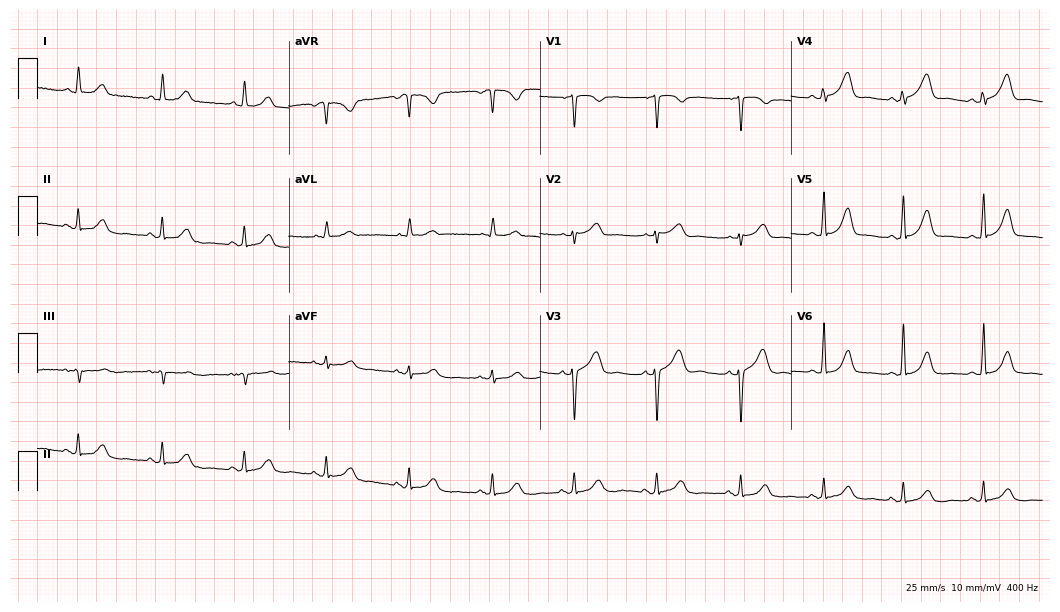
Electrocardiogram, a 55-year-old female. Of the six screened findings (first-degree AV block, right bundle branch block, left bundle branch block, sinus bradycardia, atrial fibrillation, sinus tachycardia), none is recorded. Other findings, if any, are not listed.